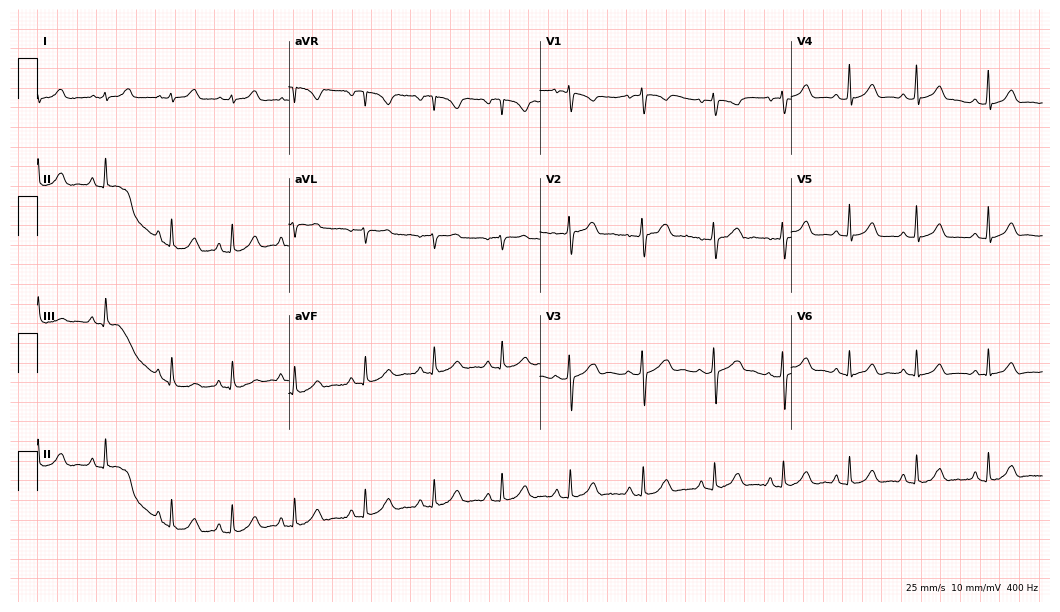
ECG — a female, 18 years old. Labelled as a normal ECG.